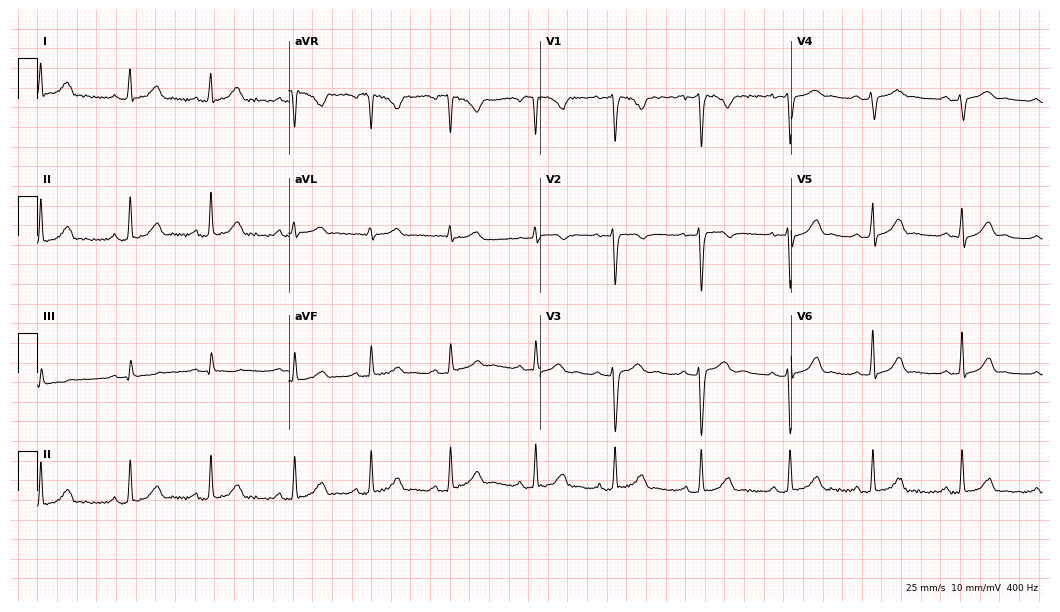
Standard 12-lead ECG recorded from a 22-year-old female patient. Read as a normal ECG.